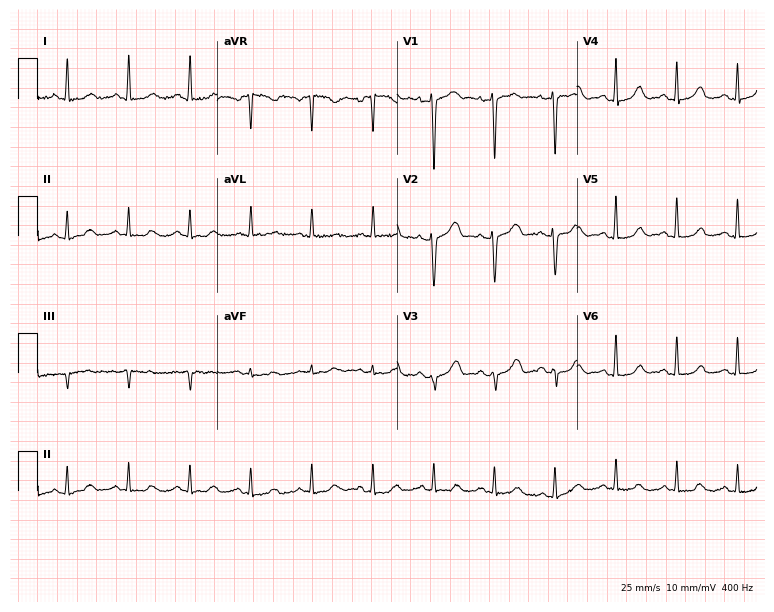
ECG (7.3-second recording at 400 Hz) — a woman, 72 years old. Labelled as a normal ECG.